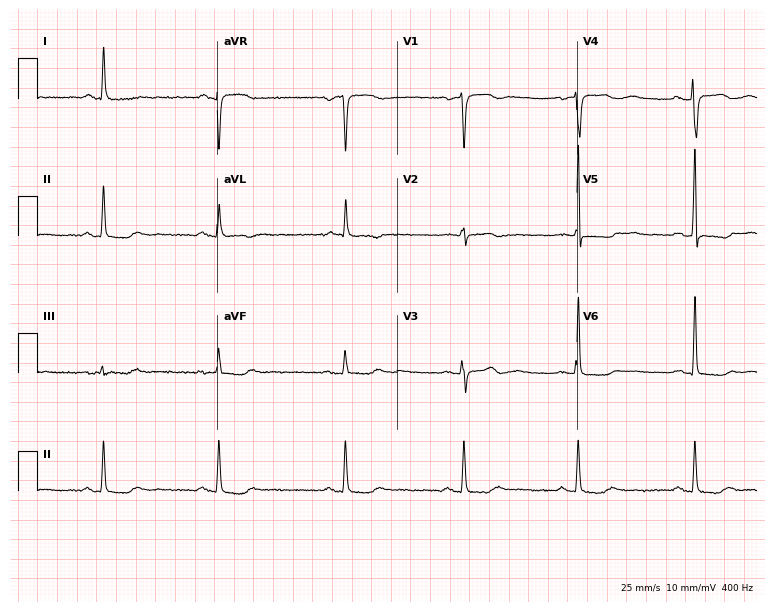
Resting 12-lead electrocardiogram. Patient: a female, 46 years old. None of these six findings is recorded: first-degree AV block, right bundle branch block (RBBB), left bundle branch block (LBBB), sinus bradycardia, atrial fibrillation (AF), sinus tachycardia.